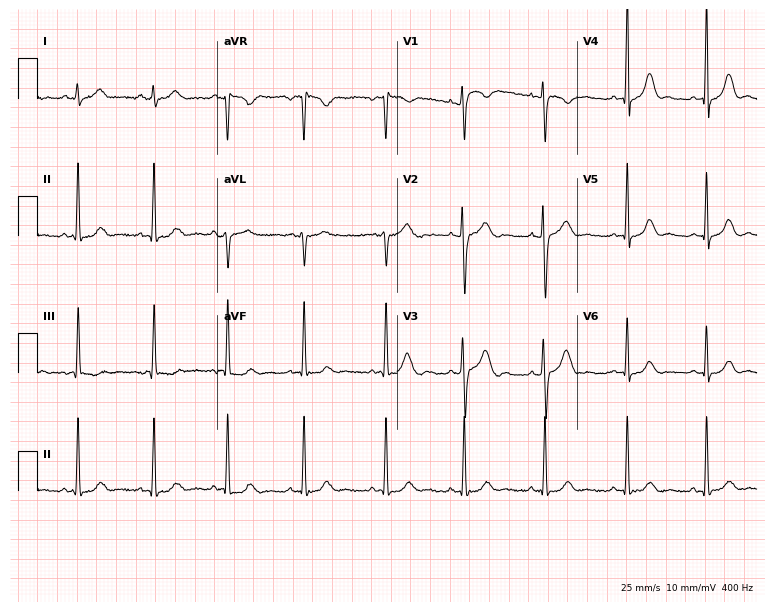
12-lead ECG (7.3-second recording at 400 Hz) from a woman, 25 years old. Labelled as a normal ECG.